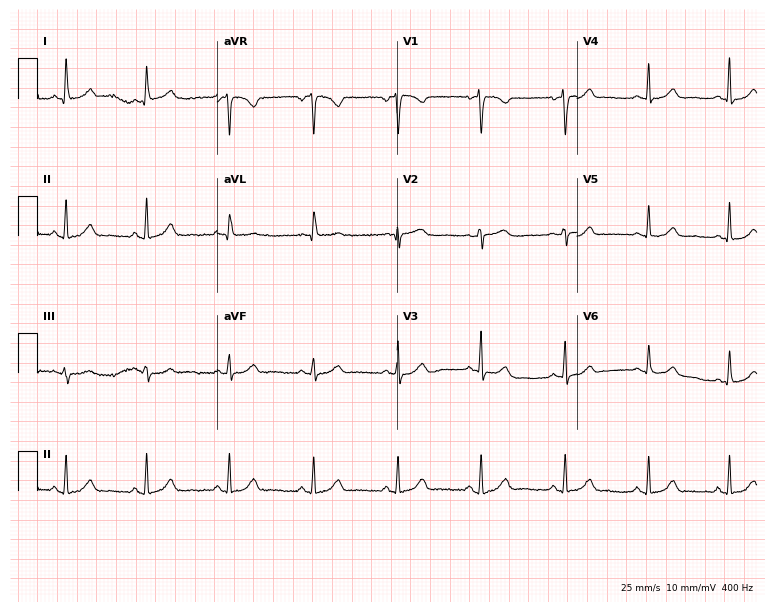
Standard 12-lead ECG recorded from a 49-year-old female (7.3-second recording at 400 Hz). Read as a normal ECG.